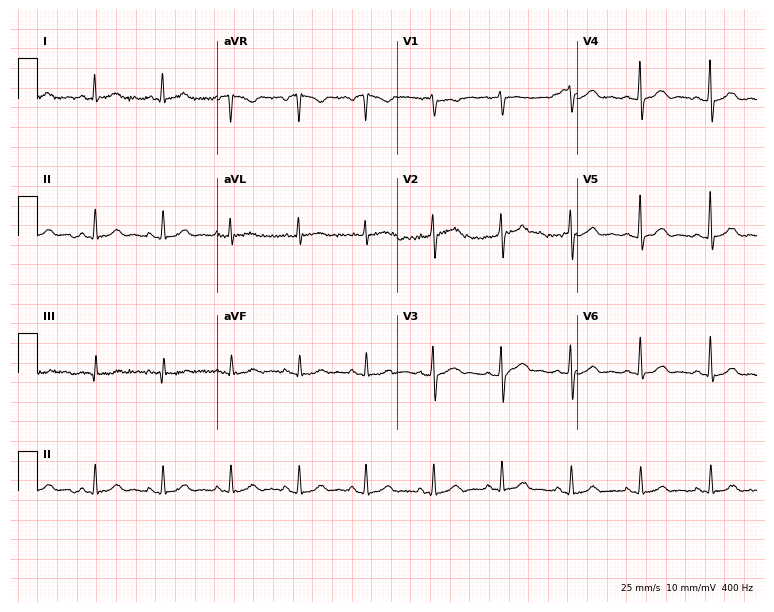
12-lead ECG from a 61-year-old female patient (7.3-second recording at 400 Hz). Recorded interpretation: within normal limits.